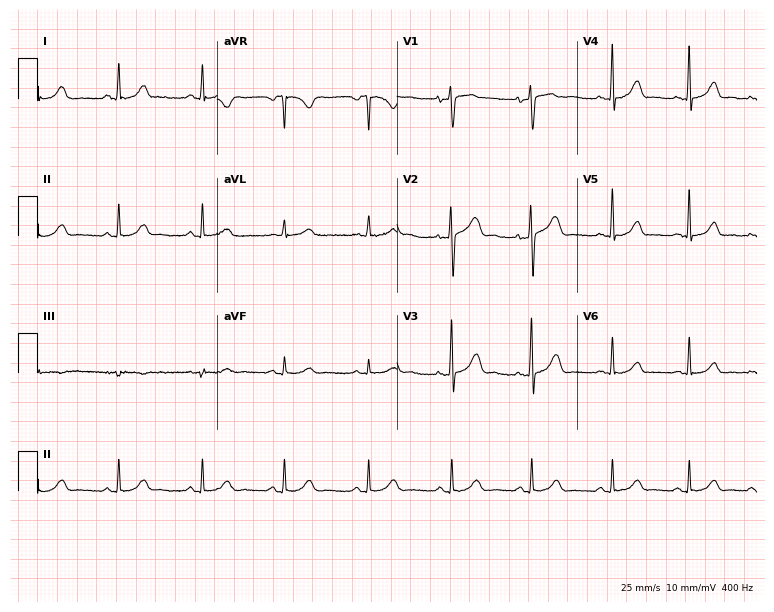
Resting 12-lead electrocardiogram (7.3-second recording at 400 Hz). Patient: a female, 43 years old. None of these six findings is recorded: first-degree AV block, right bundle branch block, left bundle branch block, sinus bradycardia, atrial fibrillation, sinus tachycardia.